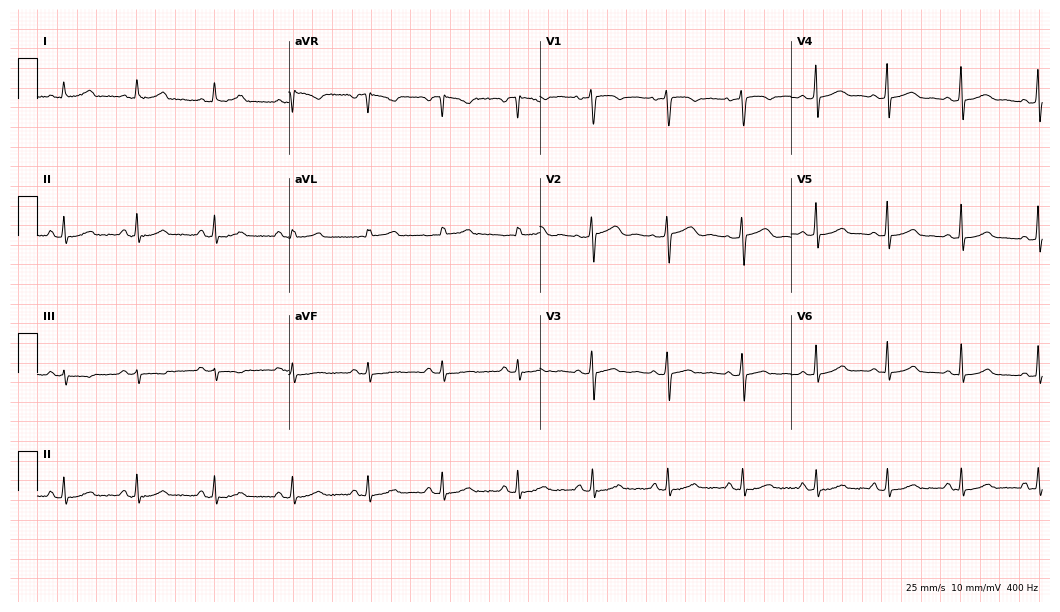
12-lead ECG (10.2-second recording at 400 Hz) from a female patient, 32 years old. Labelled as a normal ECG.